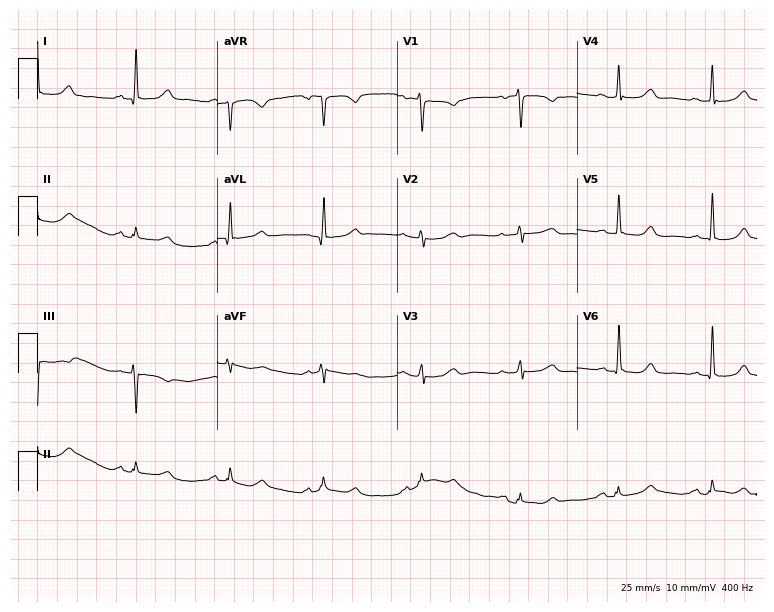
12-lead ECG from a 45-year-old woman (7.3-second recording at 400 Hz). No first-degree AV block, right bundle branch block, left bundle branch block, sinus bradycardia, atrial fibrillation or sinus tachycardia recorded for this tracing. Findings outside these six are not listed.